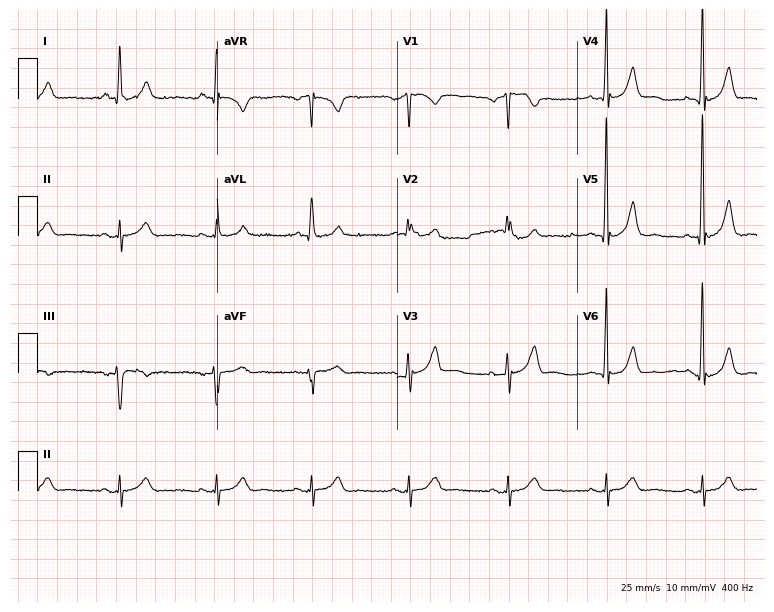
12-lead ECG from a 74-year-old man. Screened for six findings — first-degree AV block, right bundle branch block, left bundle branch block, sinus bradycardia, atrial fibrillation, sinus tachycardia — none is recorded.